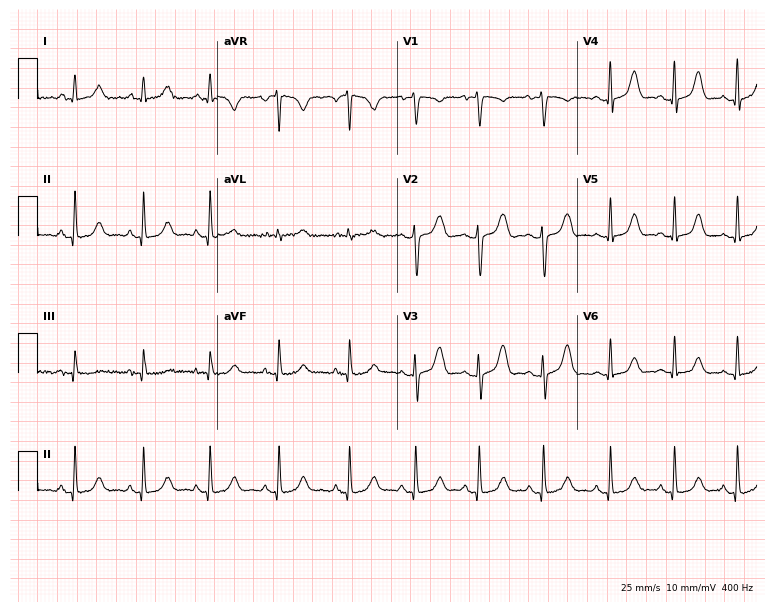
Resting 12-lead electrocardiogram. Patient: a female, 20 years old. Read as a normal ECG.